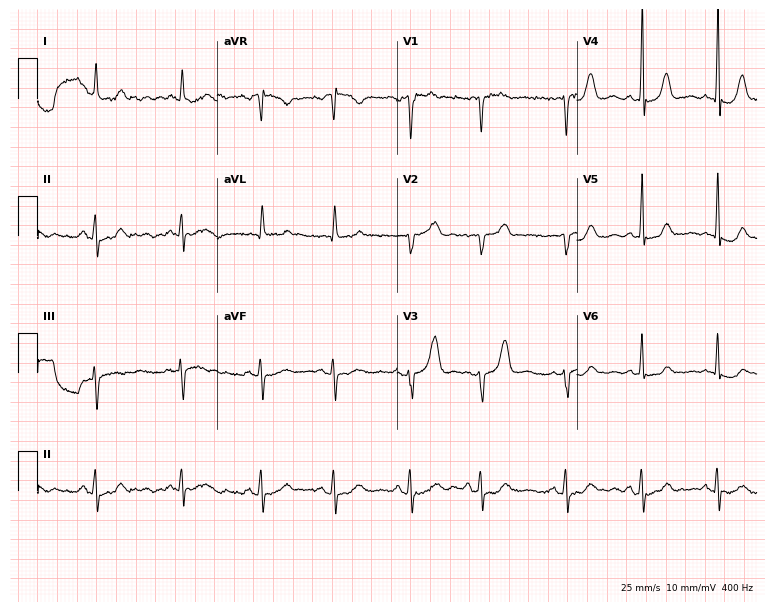
12-lead ECG from a 68-year-old female patient. Screened for six findings — first-degree AV block, right bundle branch block, left bundle branch block, sinus bradycardia, atrial fibrillation, sinus tachycardia — none is recorded.